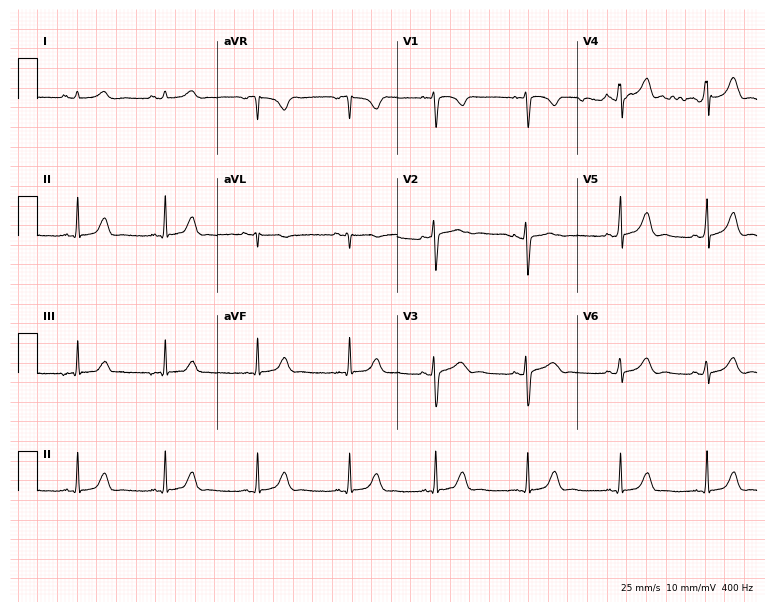
Standard 12-lead ECG recorded from a 25-year-old male (7.3-second recording at 400 Hz). None of these six findings is recorded: first-degree AV block, right bundle branch block, left bundle branch block, sinus bradycardia, atrial fibrillation, sinus tachycardia. Other findings, if any, are not listed.